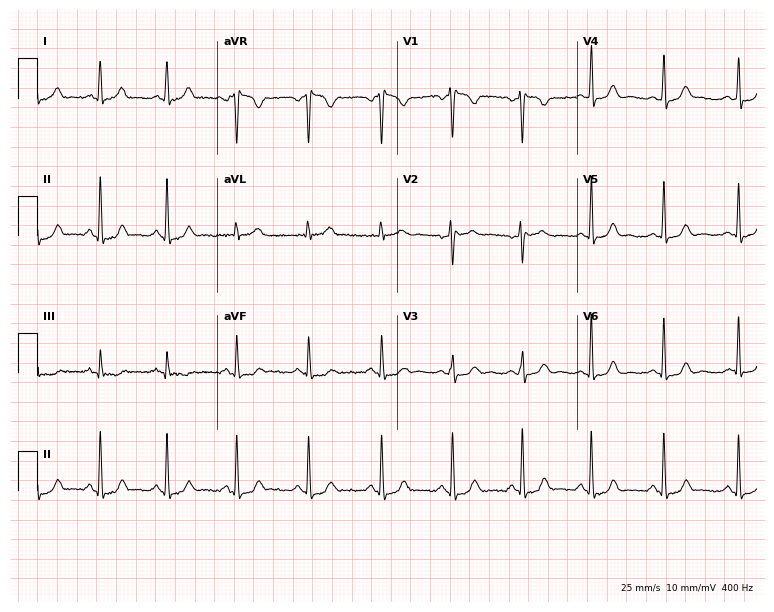
Electrocardiogram (7.3-second recording at 400 Hz), a female, 45 years old. Overall reading on record: normal ECG.